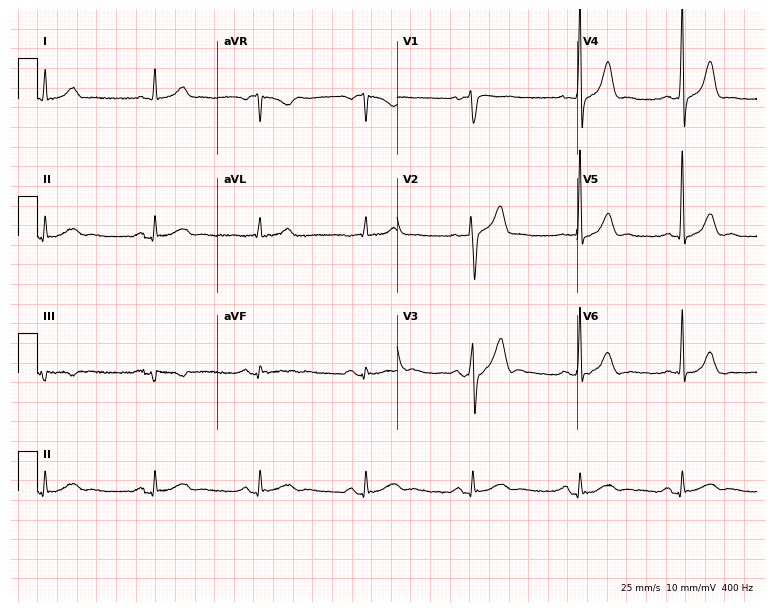
12-lead ECG (7.3-second recording at 400 Hz) from a 48-year-old male patient. Labelled as a normal ECG.